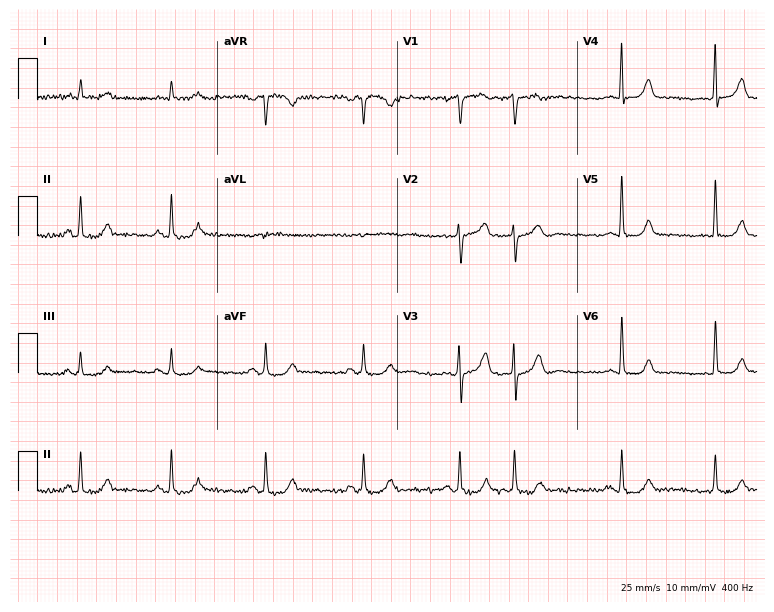
12-lead ECG (7.3-second recording at 400 Hz) from a male patient, 73 years old. Screened for six findings — first-degree AV block, right bundle branch block, left bundle branch block, sinus bradycardia, atrial fibrillation, sinus tachycardia — none is recorded. Other findings, if any, are not listed.